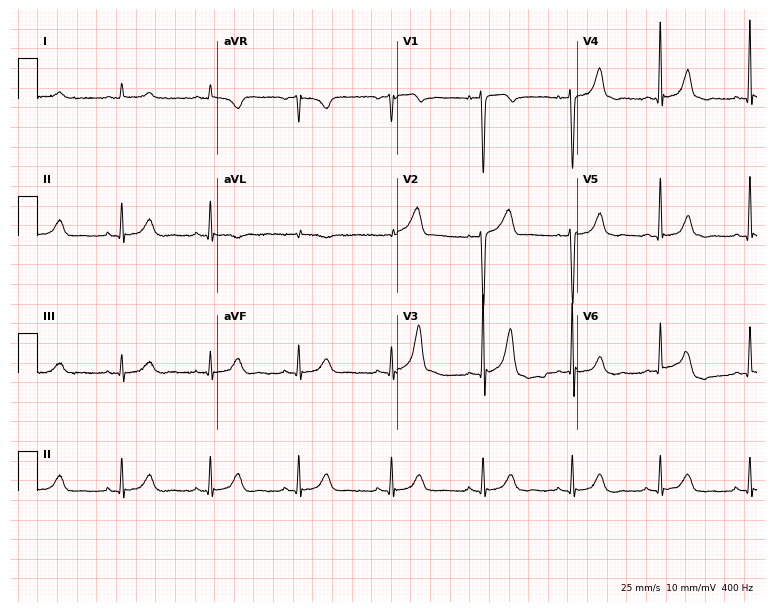
12-lead ECG (7.3-second recording at 400 Hz) from a 75-year-old male patient. Labelled as a normal ECG.